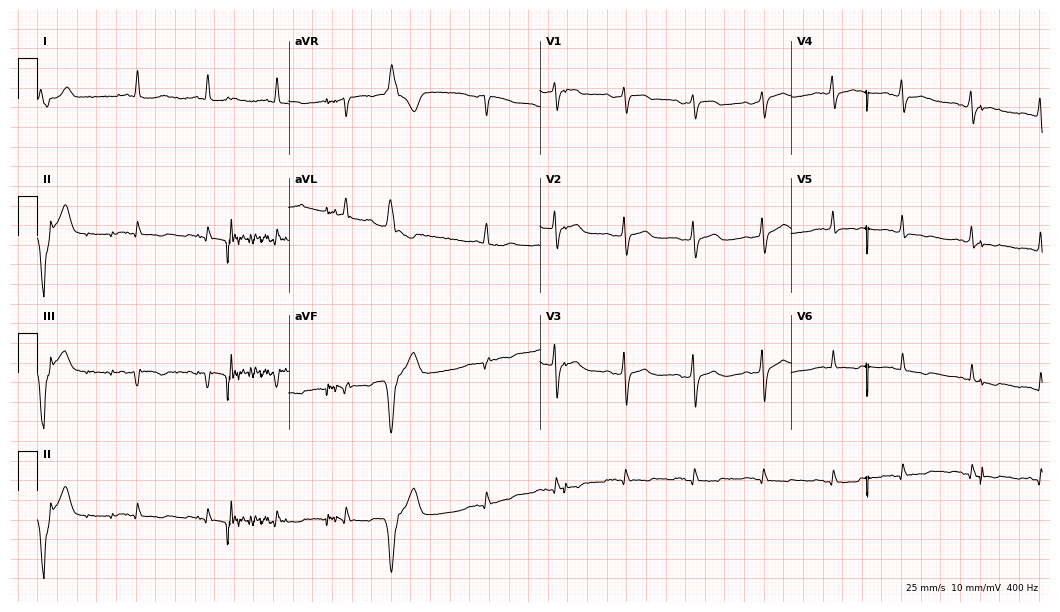
12-lead ECG (10.2-second recording at 400 Hz) from a woman, 81 years old. Screened for six findings — first-degree AV block, right bundle branch block, left bundle branch block, sinus bradycardia, atrial fibrillation, sinus tachycardia — none is recorded. Only these six findings were labelled.